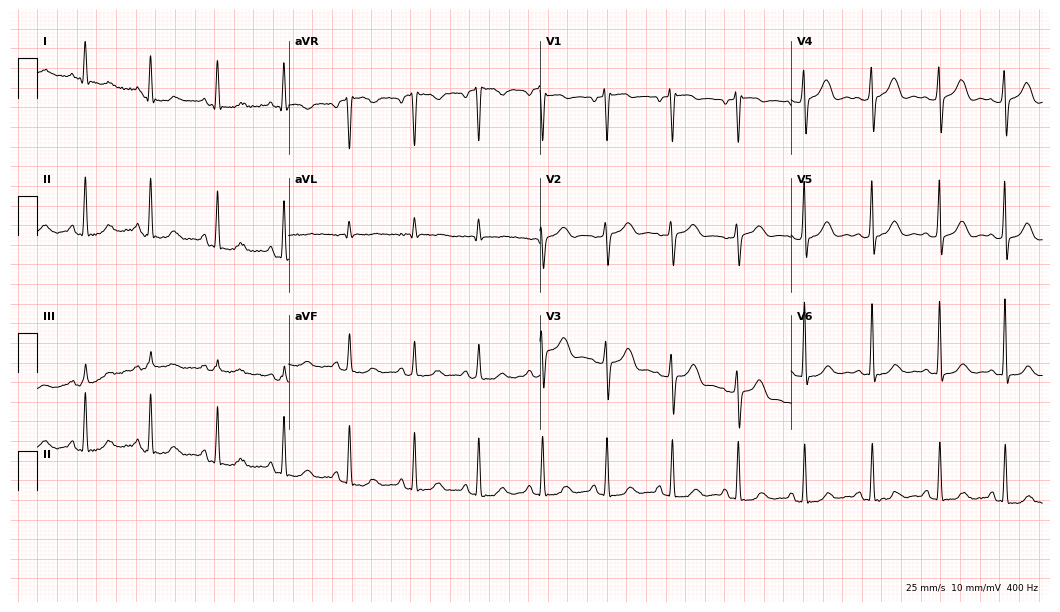
Resting 12-lead electrocardiogram. Patient: a 48-year-old woman. None of these six findings is recorded: first-degree AV block, right bundle branch block (RBBB), left bundle branch block (LBBB), sinus bradycardia, atrial fibrillation (AF), sinus tachycardia.